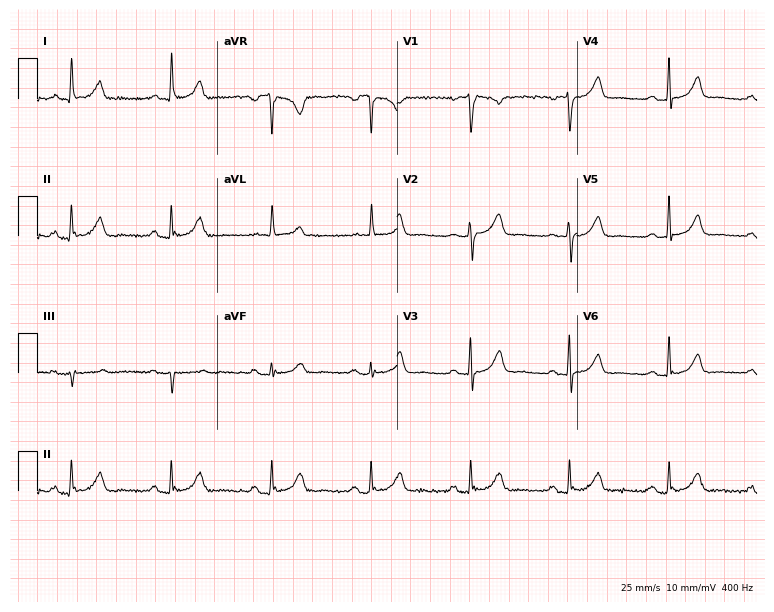
ECG (7.3-second recording at 400 Hz) — a female, 80 years old. Labelled as a normal ECG.